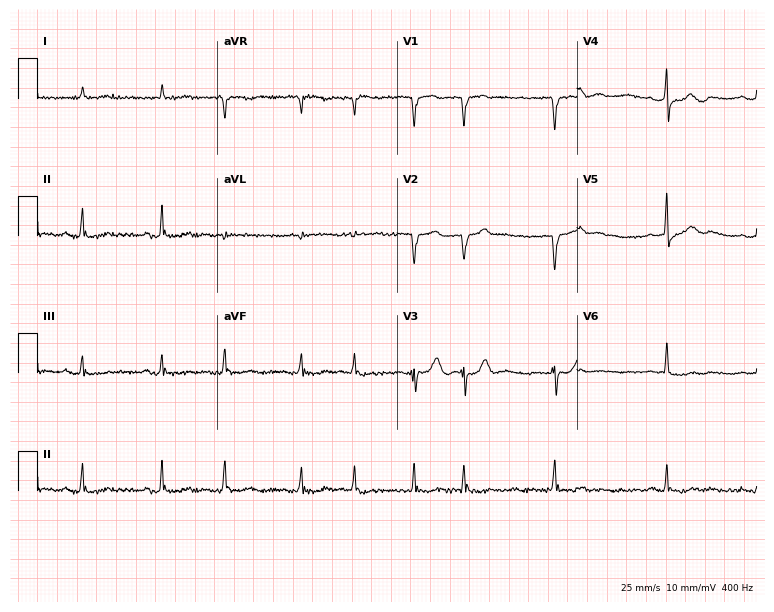
Resting 12-lead electrocardiogram. Patient: an 82-year-old man. The tracing shows atrial fibrillation.